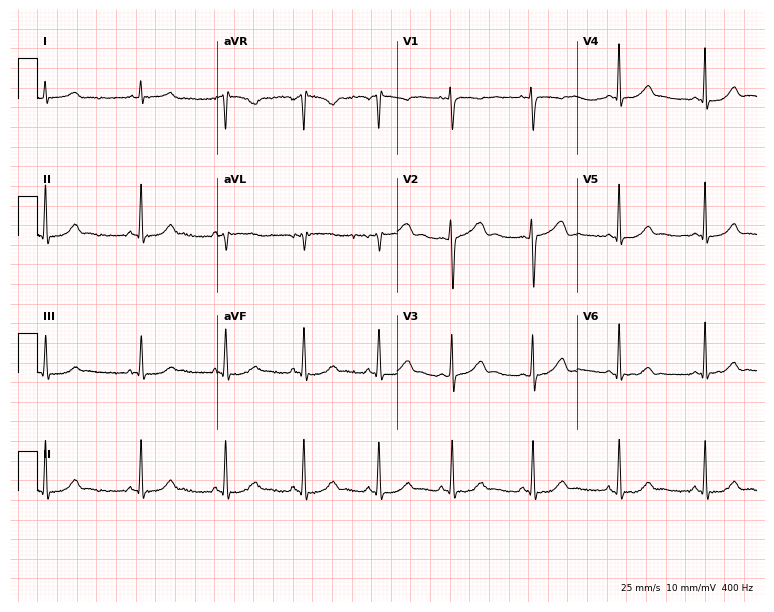
Standard 12-lead ECG recorded from a 27-year-old woman. Read as a normal ECG.